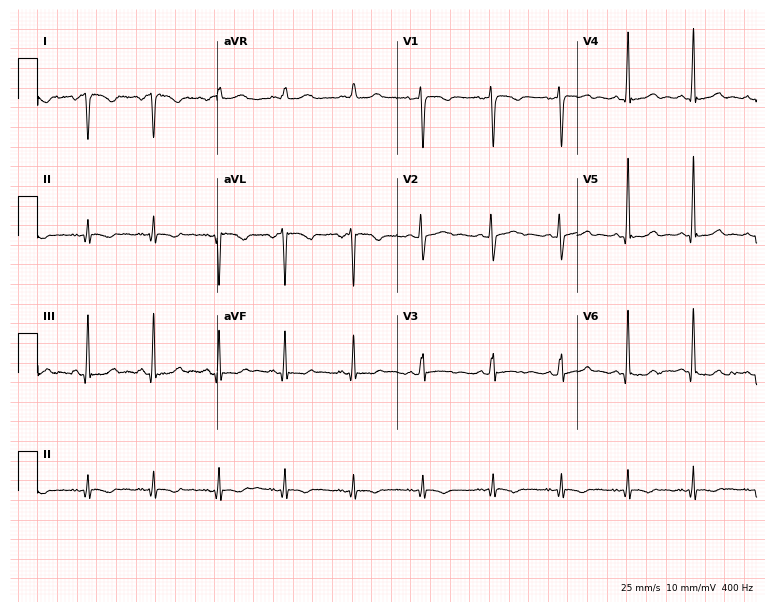
12-lead ECG (7.3-second recording at 400 Hz) from a 37-year-old female patient. Screened for six findings — first-degree AV block, right bundle branch block, left bundle branch block, sinus bradycardia, atrial fibrillation, sinus tachycardia — none is recorded.